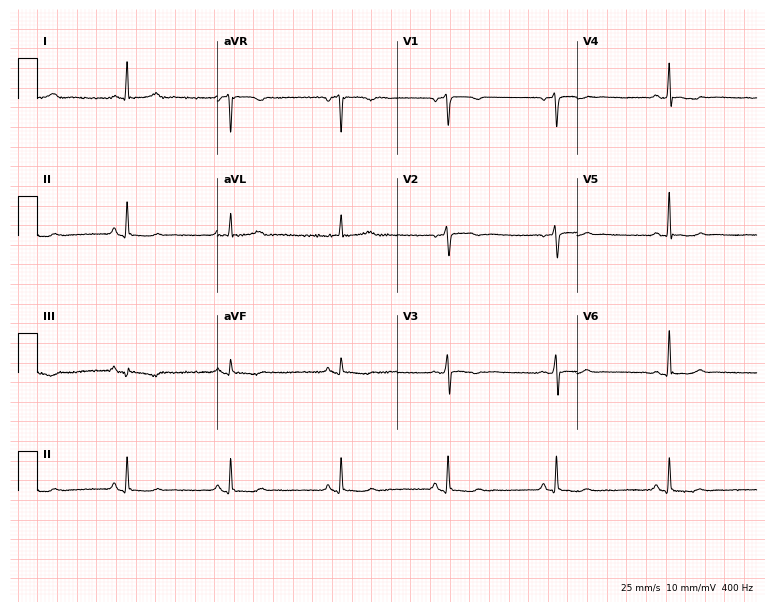
12-lead ECG from a 53-year-old woman. Screened for six findings — first-degree AV block, right bundle branch block (RBBB), left bundle branch block (LBBB), sinus bradycardia, atrial fibrillation (AF), sinus tachycardia — none is recorded. Other findings, if any, are not listed.